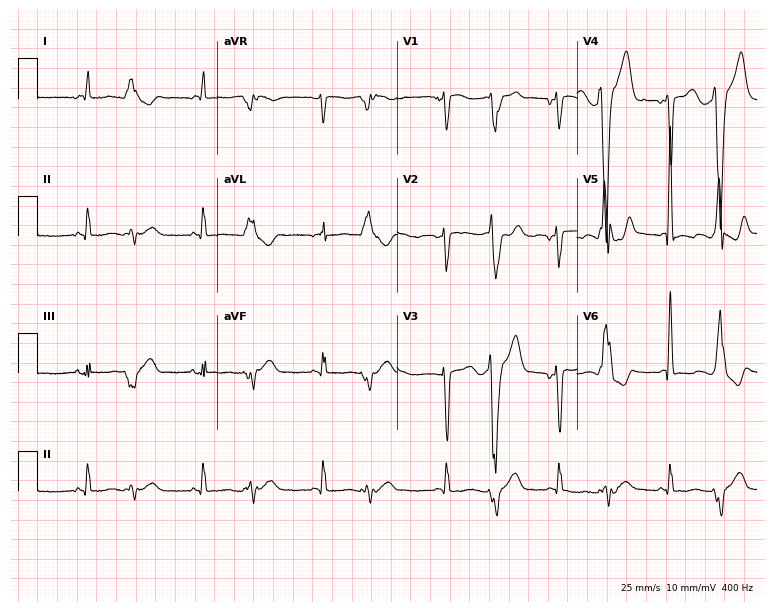
12-lead ECG from a woman, 65 years old. Screened for six findings — first-degree AV block, right bundle branch block, left bundle branch block, sinus bradycardia, atrial fibrillation, sinus tachycardia — none is recorded. Findings outside these six are not listed.